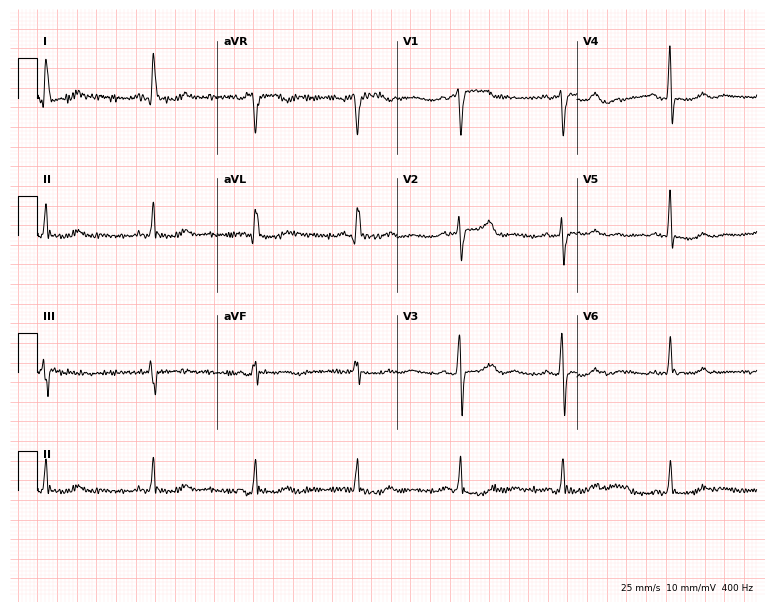
Standard 12-lead ECG recorded from a female patient, 66 years old (7.3-second recording at 400 Hz). Read as a normal ECG.